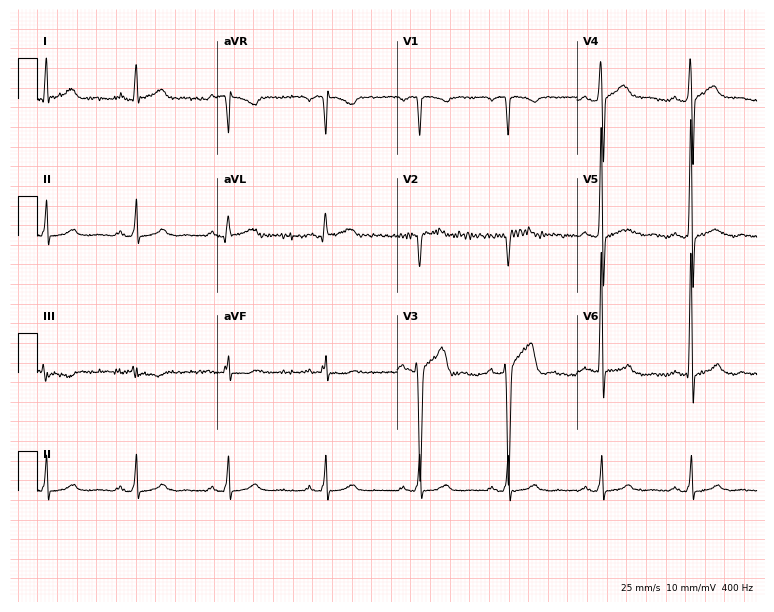
Electrocardiogram (7.3-second recording at 400 Hz), a 41-year-old male patient. Overall reading on record: normal ECG.